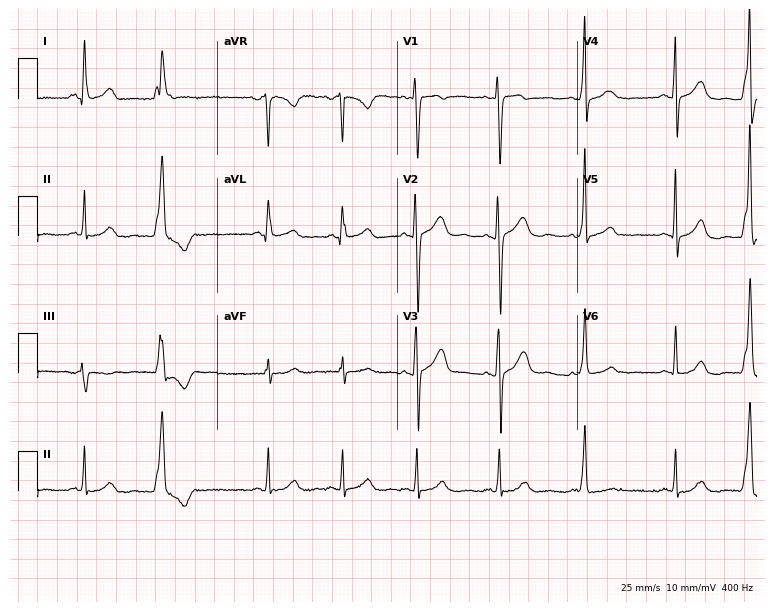
12-lead ECG (7.3-second recording at 400 Hz) from a female patient, 25 years old. Screened for six findings — first-degree AV block, right bundle branch block, left bundle branch block, sinus bradycardia, atrial fibrillation, sinus tachycardia — none is recorded.